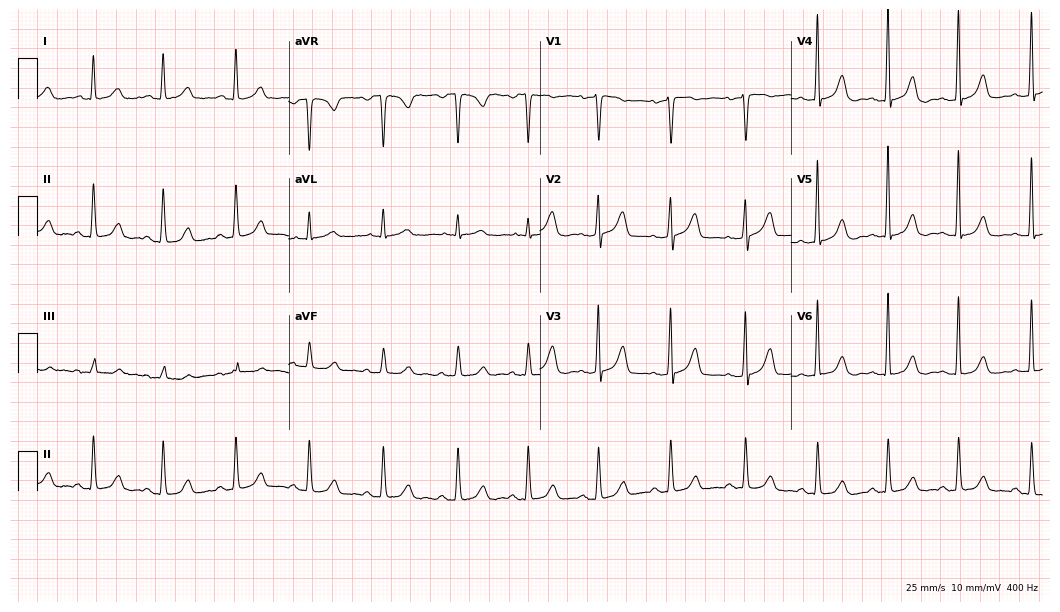
Resting 12-lead electrocardiogram (10.2-second recording at 400 Hz). Patient: a female, 52 years old. Read as a normal ECG.